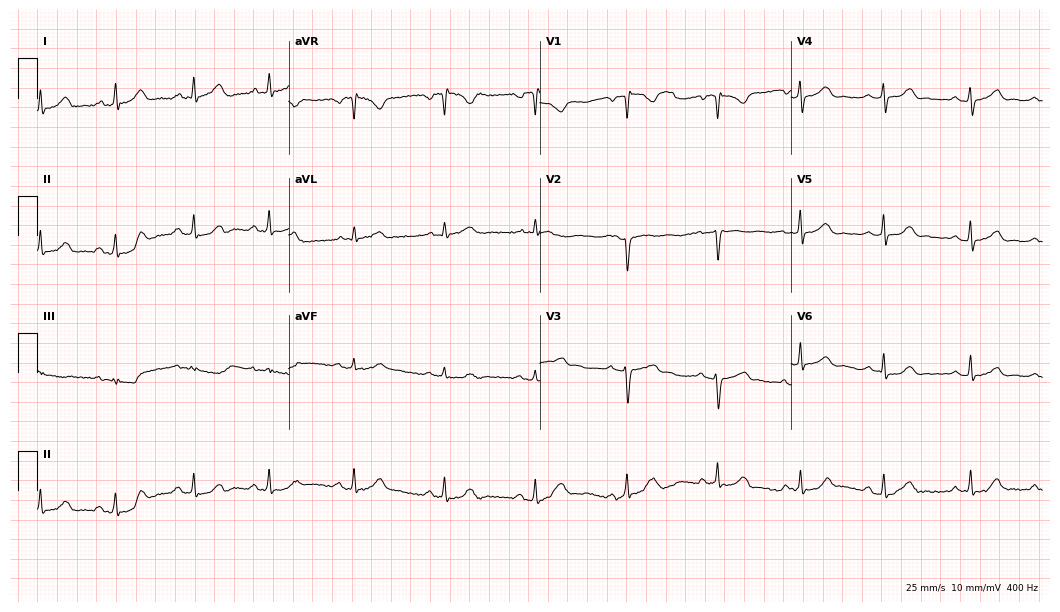
Standard 12-lead ECG recorded from a female patient, 29 years old. Read as a normal ECG.